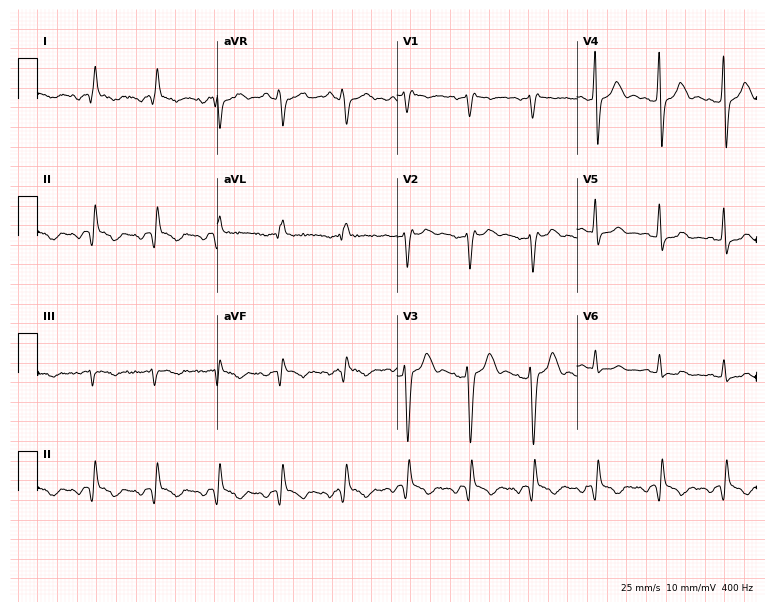
ECG (7.3-second recording at 400 Hz) — a 57-year-old man. Screened for six findings — first-degree AV block, right bundle branch block, left bundle branch block, sinus bradycardia, atrial fibrillation, sinus tachycardia — none is recorded.